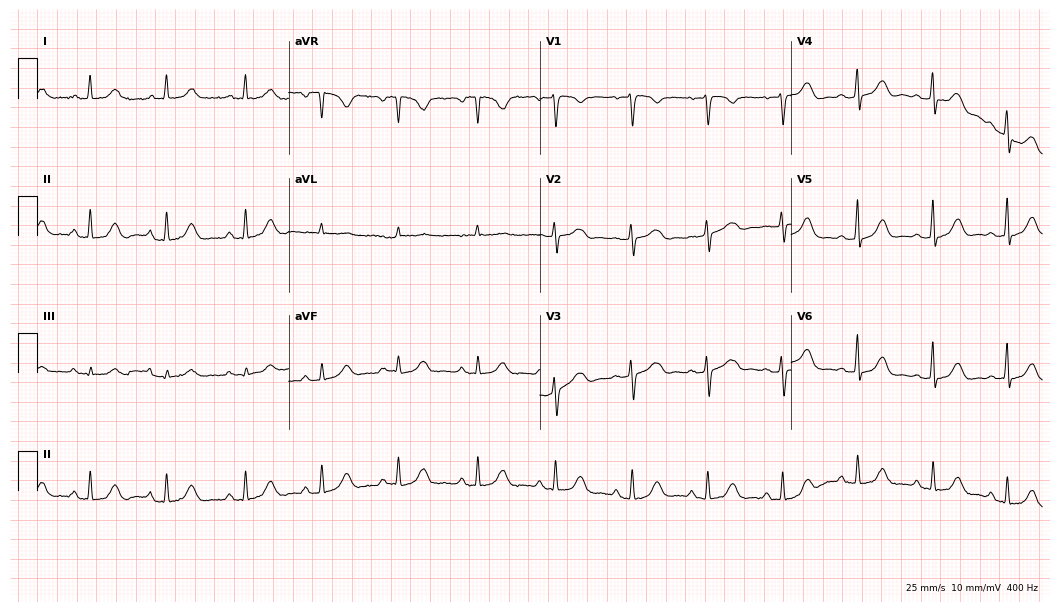
Standard 12-lead ECG recorded from a 54-year-old woman. None of these six findings is recorded: first-degree AV block, right bundle branch block (RBBB), left bundle branch block (LBBB), sinus bradycardia, atrial fibrillation (AF), sinus tachycardia.